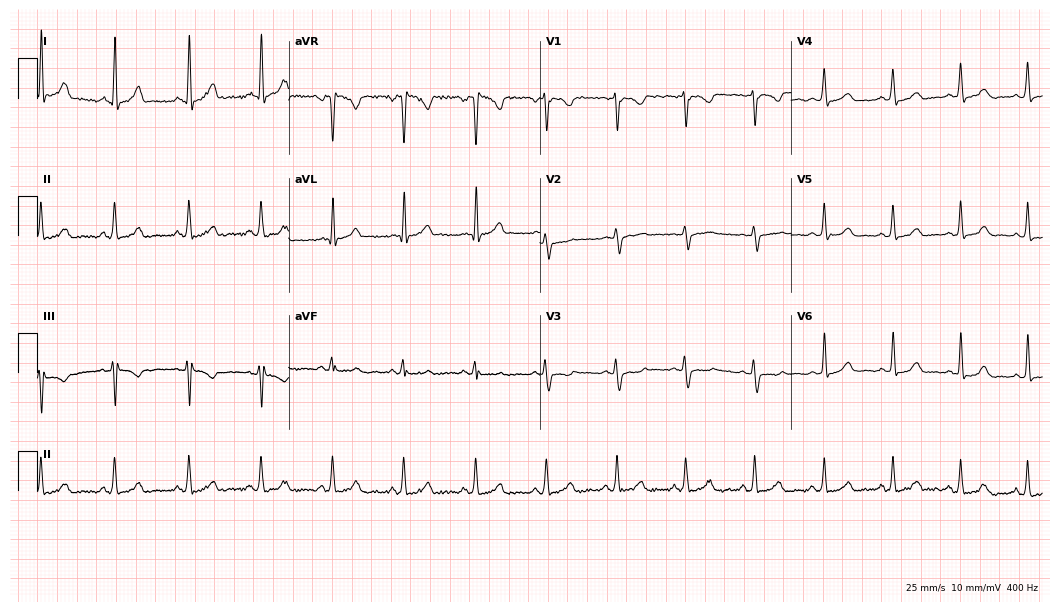
ECG (10.2-second recording at 400 Hz) — a female patient, 44 years old. Screened for six findings — first-degree AV block, right bundle branch block, left bundle branch block, sinus bradycardia, atrial fibrillation, sinus tachycardia — none is recorded.